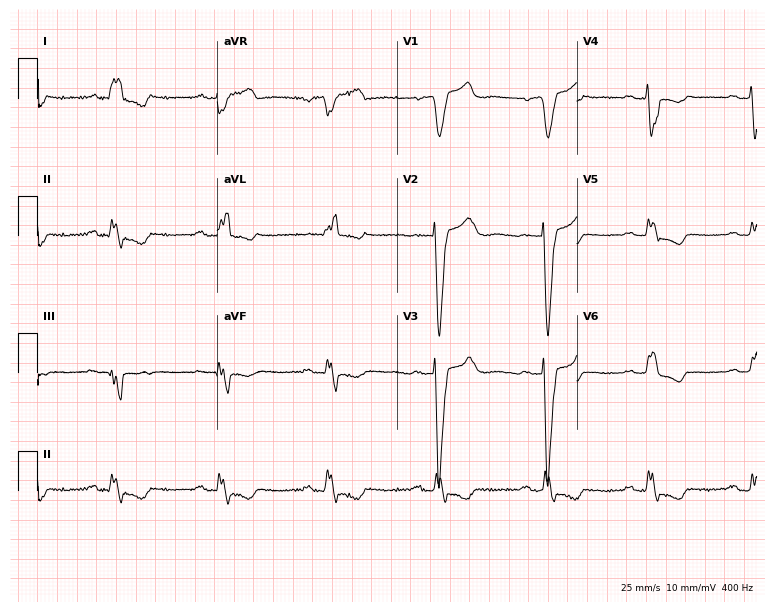
ECG — an 82-year-old female patient. Screened for six findings — first-degree AV block, right bundle branch block (RBBB), left bundle branch block (LBBB), sinus bradycardia, atrial fibrillation (AF), sinus tachycardia — none is recorded. Only these six findings were labelled.